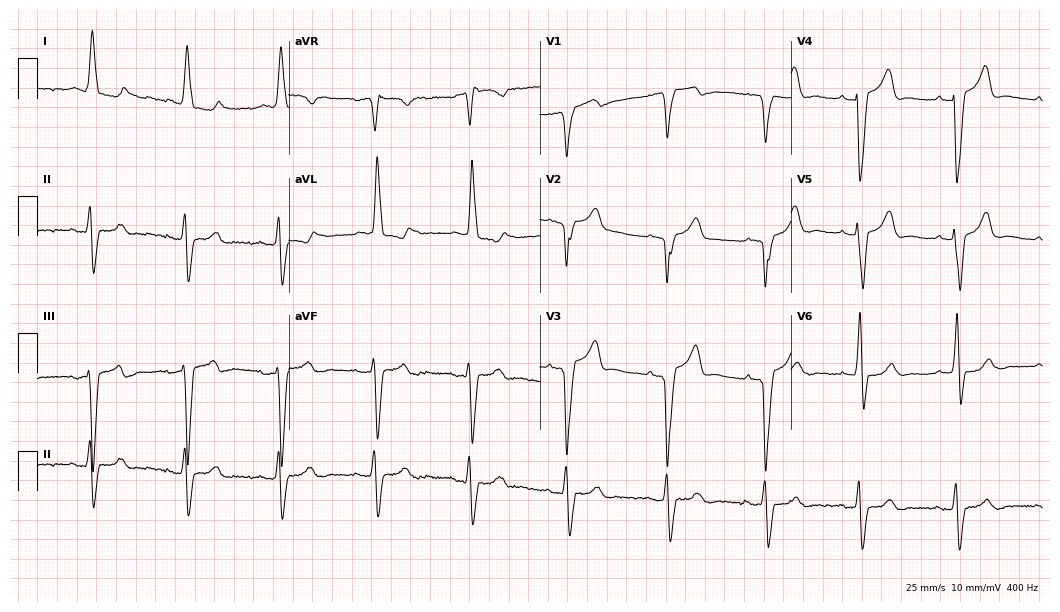
Resting 12-lead electrocardiogram. Patient: a woman, 82 years old. None of these six findings is recorded: first-degree AV block, right bundle branch block, left bundle branch block, sinus bradycardia, atrial fibrillation, sinus tachycardia.